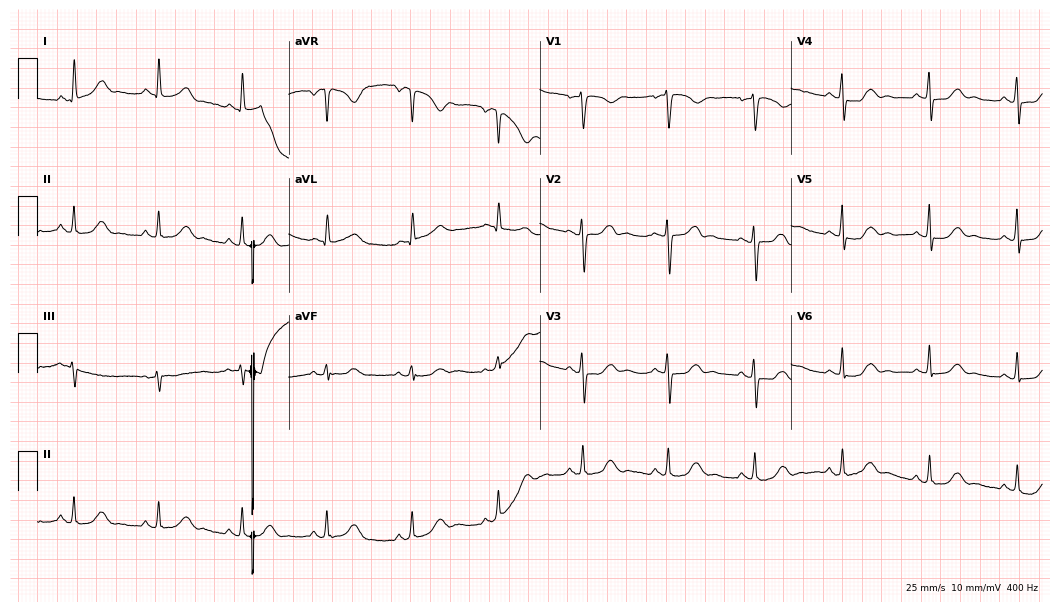
12-lead ECG from a 65-year-old female patient. No first-degree AV block, right bundle branch block, left bundle branch block, sinus bradycardia, atrial fibrillation or sinus tachycardia recorded for this tracing. Findings outside these six are not listed.